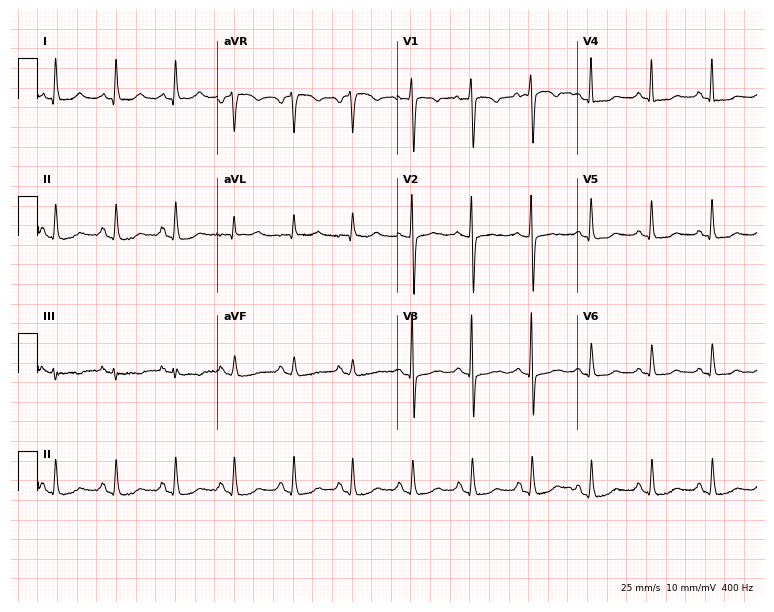
Resting 12-lead electrocardiogram. Patient: a 66-year-old female. Read as a normal ECG.